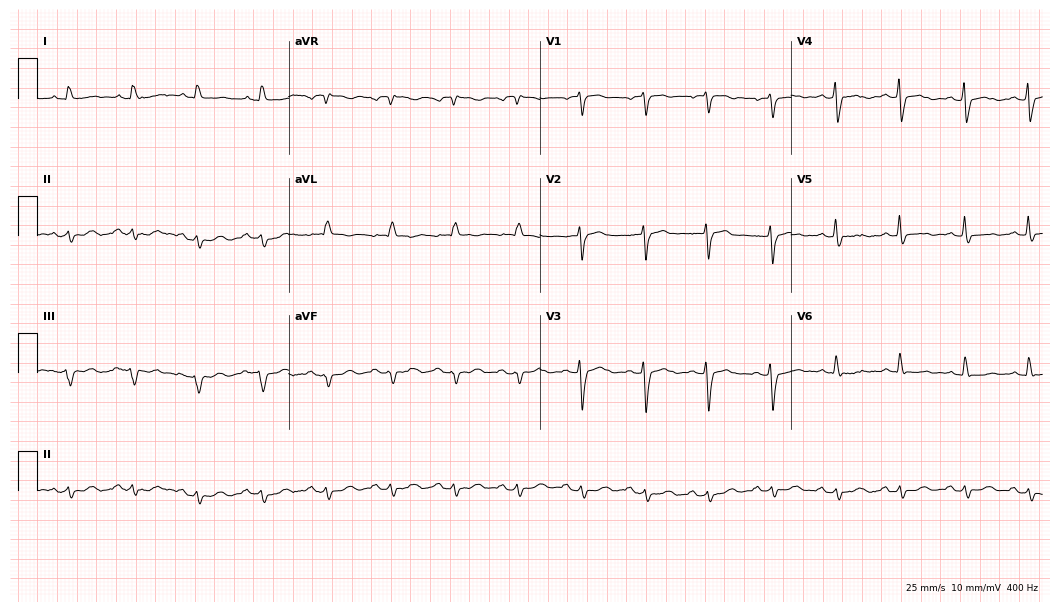
12-lead ECG from a 77-year-old woman (10.2-second recording at 400 Hz). No first-degree AV block, right bundle branch block, left bundle branch block, sinus bradycardia, atrial fibrillation or sinus tachycardia recorded for this tracing. Only these six findings were labelled.